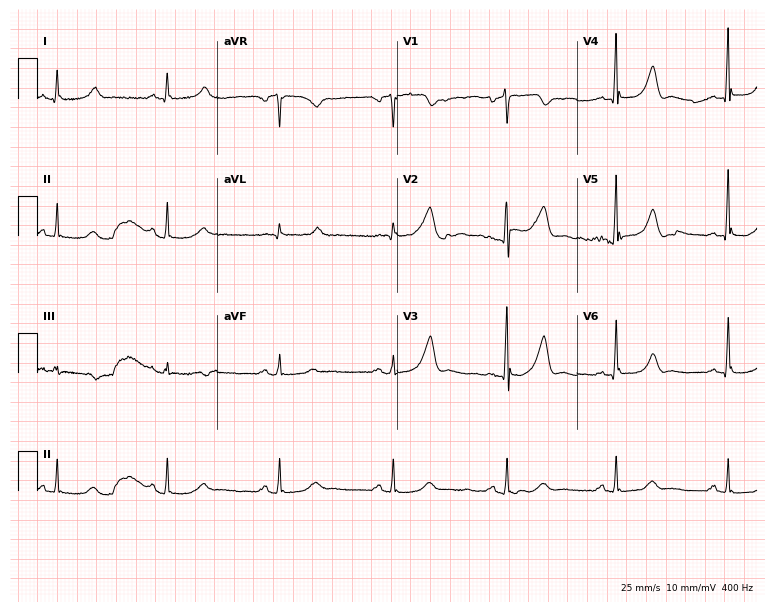
Electrocardiogram, a 49-year-old man. Of the six screened findings (first-degree AV block, right bundle branch block (RBBB), left bundle branch block (LBBB), sinus bradycardia, atrial fibrillation (AF), sinus tachycardia), none is recorded.